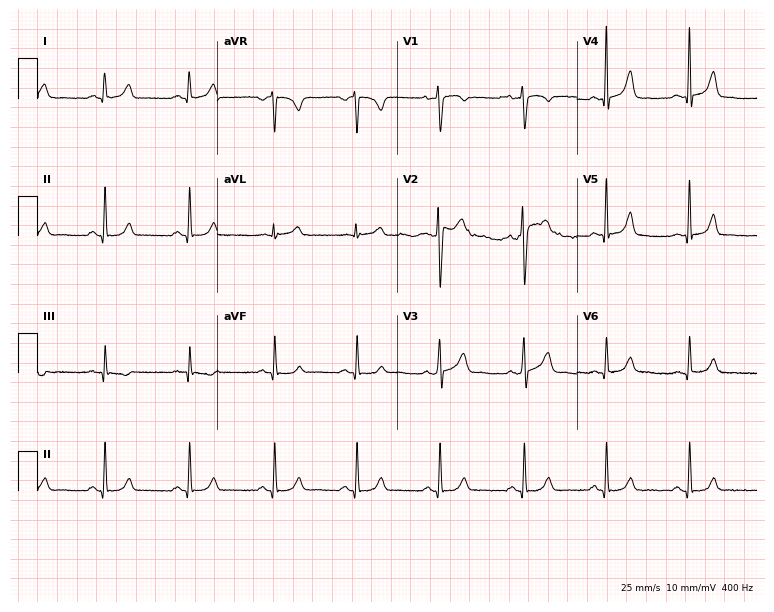
12-lead ECG from a 30-year-old female patient (7.3-second recording at 400 Hz). Recorded interpretation: within normal limits.